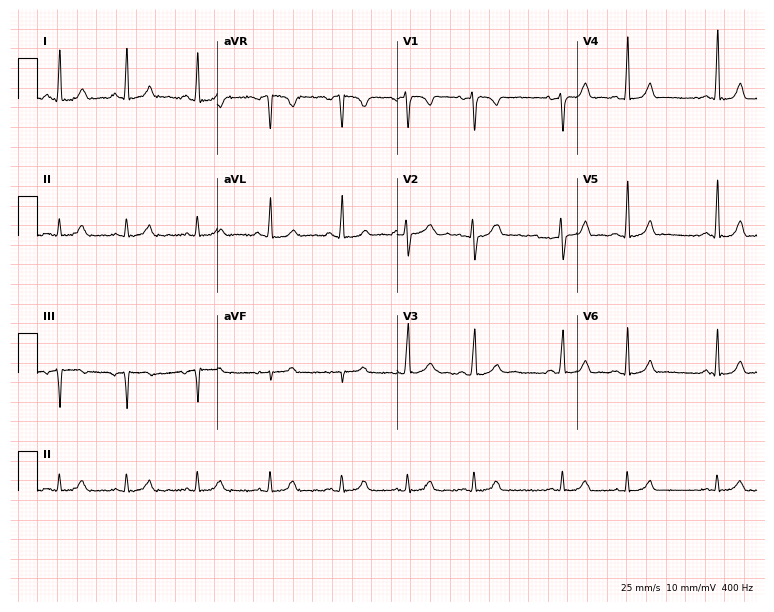
Standard 12-lead ECG recorded from a woman, 24 years old (7.3-second recording at 400 Hz). Read as a normal ECG.